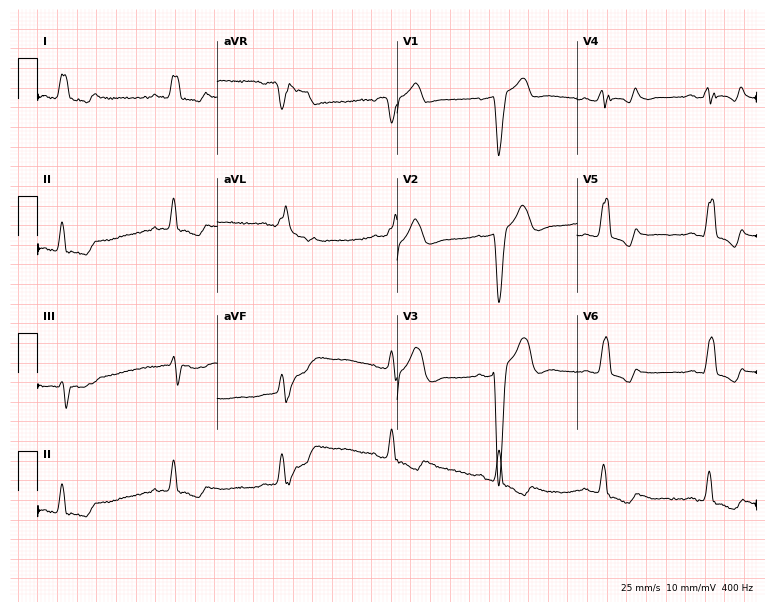
12-lead ECG (7.3-second recording at 400 Hz) from a 60-year-old male patient. Findings include left bundle branch block.